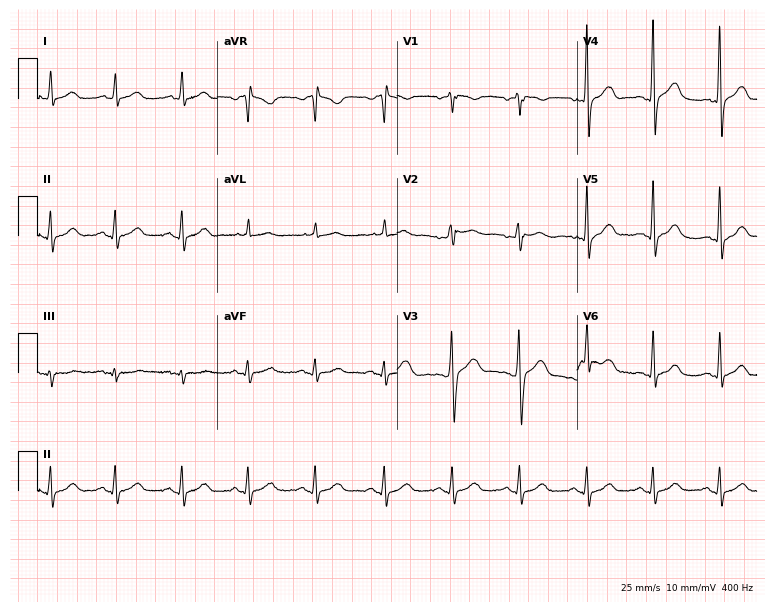
12-lead ECG (7.3-second recording at 400 Hz) from a 34-year-old male. Labelled as a normal ECG.